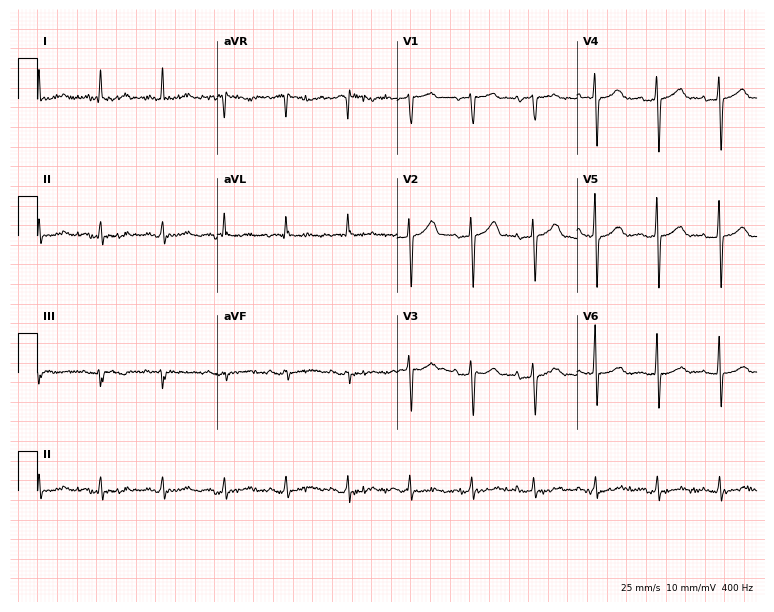
Resting 12-lead electrocardiogram (7.3-second recording at 400 Hz). Patient: an 84-year-old man. Read as a normal ECG.